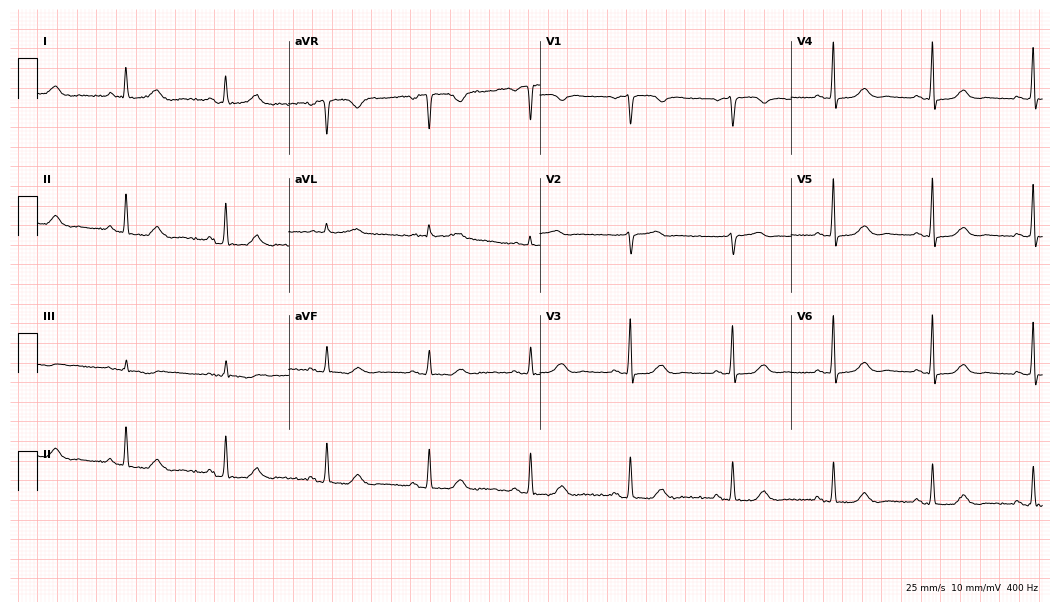
ECG (10.2-second recording at 400 Hz) — a 70-year-old woman. Labelled as a normal ECG.